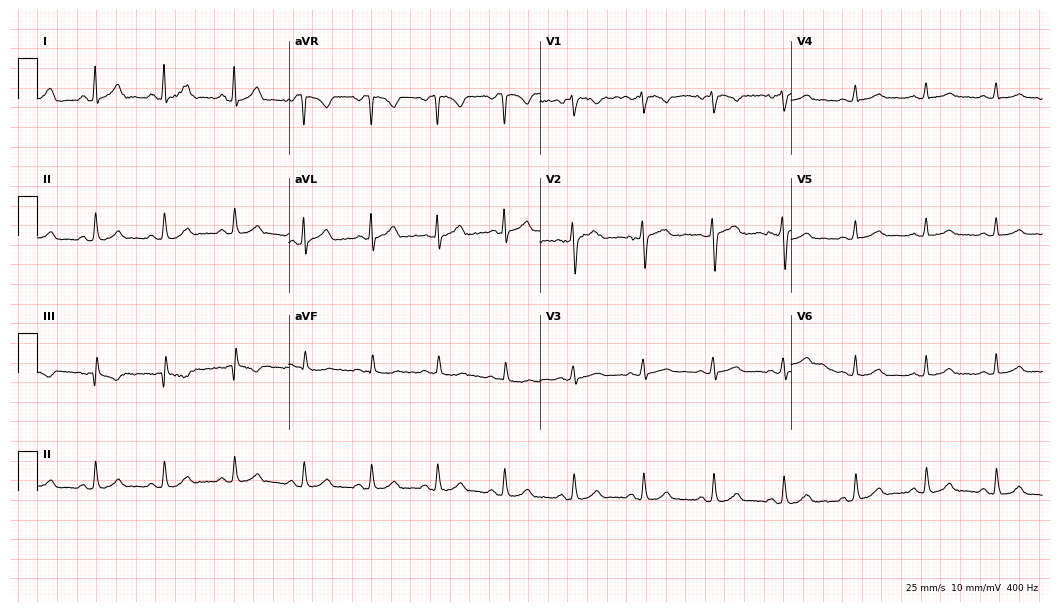
12-lead ECG (10.2-second recording at 400 Hz) from a 24-year-old woman. Labelled as a normal ECG.